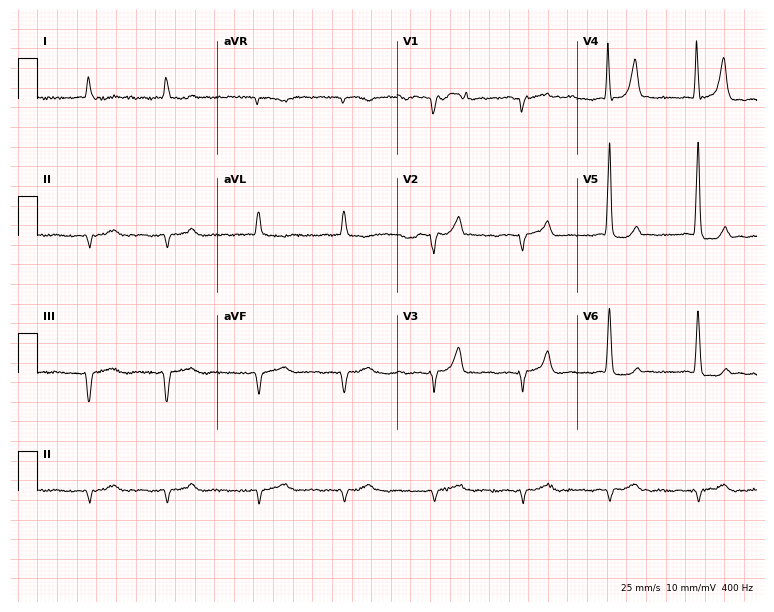
Resting 12-lead electrocardiogram. Patient: a 76-year-old male. The tracing shows atrial fibrillation.